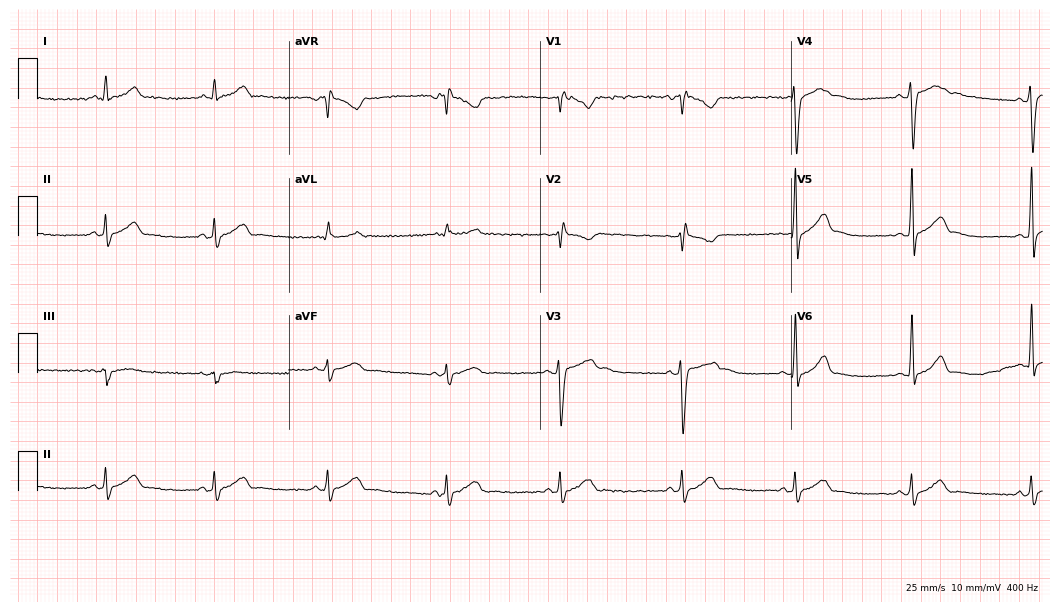
Standard 12-lead ECG recorded from an 18-year-old male. None of these six findings is recorded: first-degree AV block, right bundle branch block, left bundle branch block, sinus bradycardia, atrial fibrillation, sinus tachycardia. Findings outside these six are not listed.